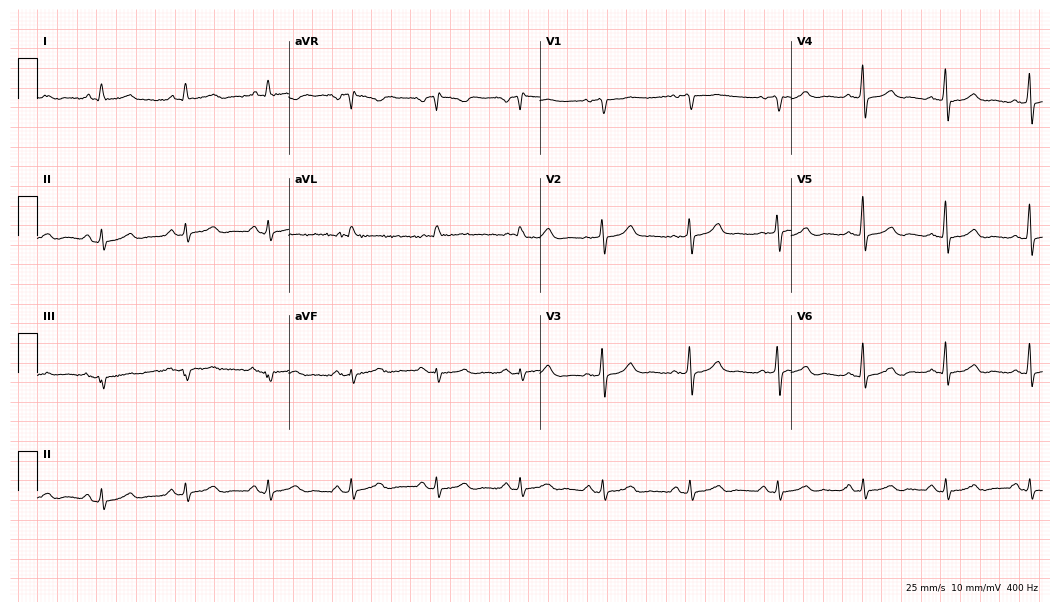
Resting 12-lead electrocardiogram (10.2-second recording at 400 Hz). Patient: a female, 61 years old. Read as a normal ECG.